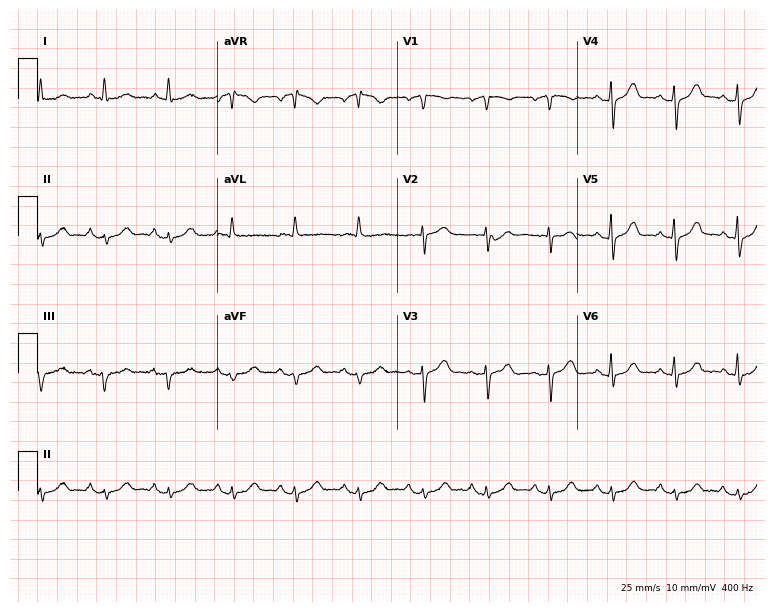
ECG — a male, 82 years old. Labelled as a normal ECG.